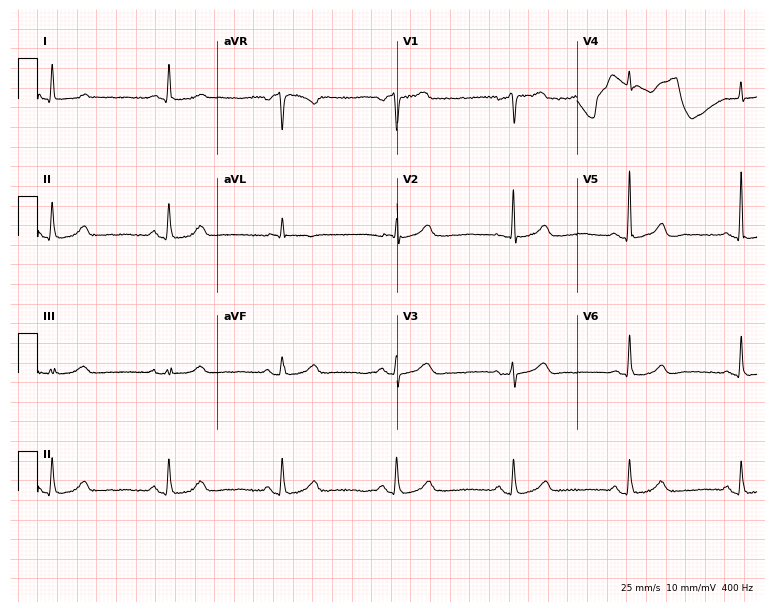
12-lead ECG from a female patient, 56 years old (7.3-second recording at 400 Hz). Recorded interpretation: within normal limits.